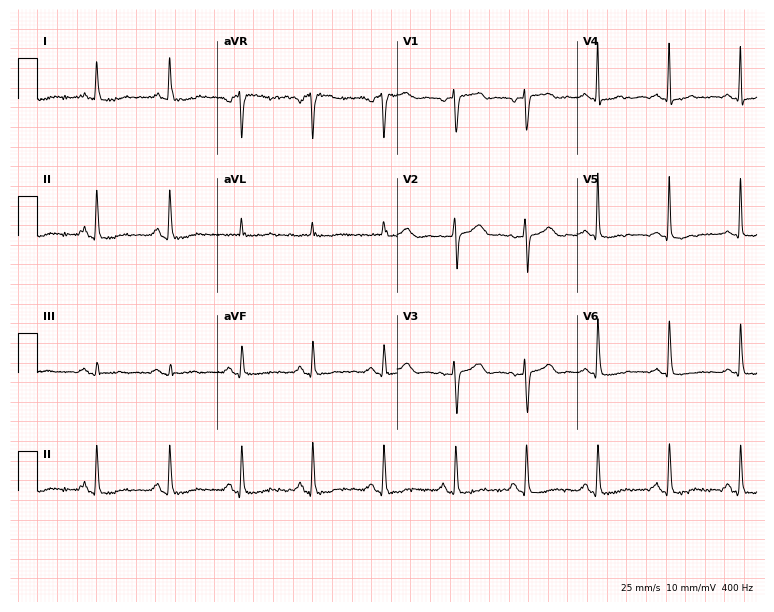
Electrocardiogram (7.3-second recording at 400 Hz), a 60-year-old female. Of the six screened findings (first-degree AV block, right bundle branch block (RBBB), left bundle branch block (LBBB), sinus bradycardia, atrial fibrillation (AF), sinus tachycardia), none is recorded.